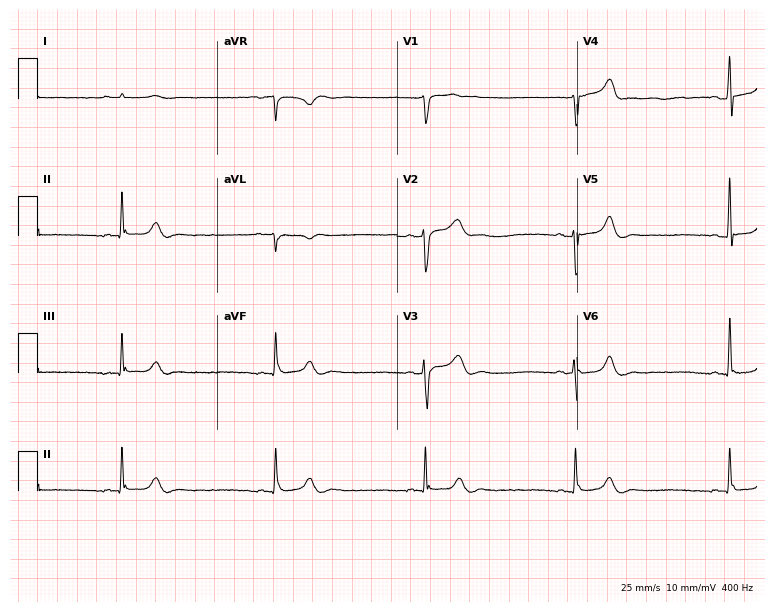
Electrocardiogram, a male, 58 years old. Interpretation includes sinus bradycardia (a sinus rate of 50 beats per minute or less).